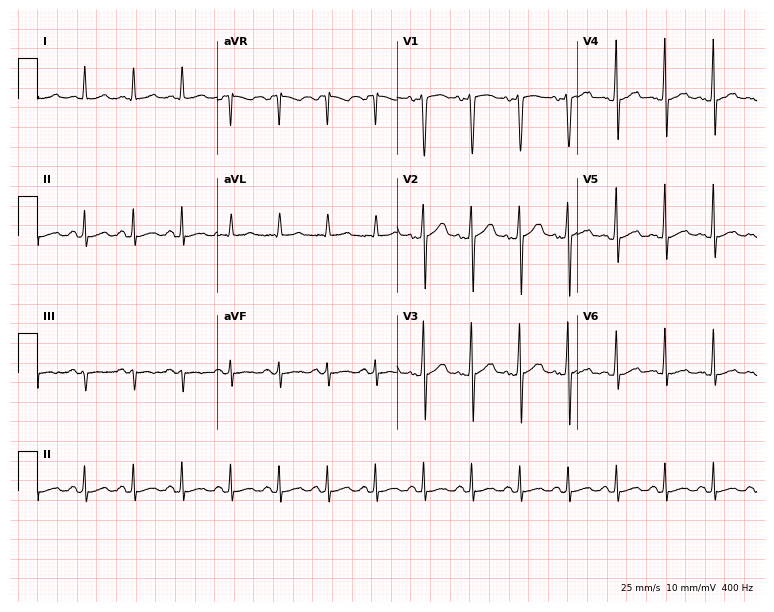
Standard 12-lead ECG recorded from a 52-year-old male (7.3-second recording at 400 Hz). None of these six findings is recorded: first-degree AV block, right bundle branch block (RBBB), left bundle branch block (LBBB), sinus bradycardia, atrial fibrillation (AF), sinus tachycardia.